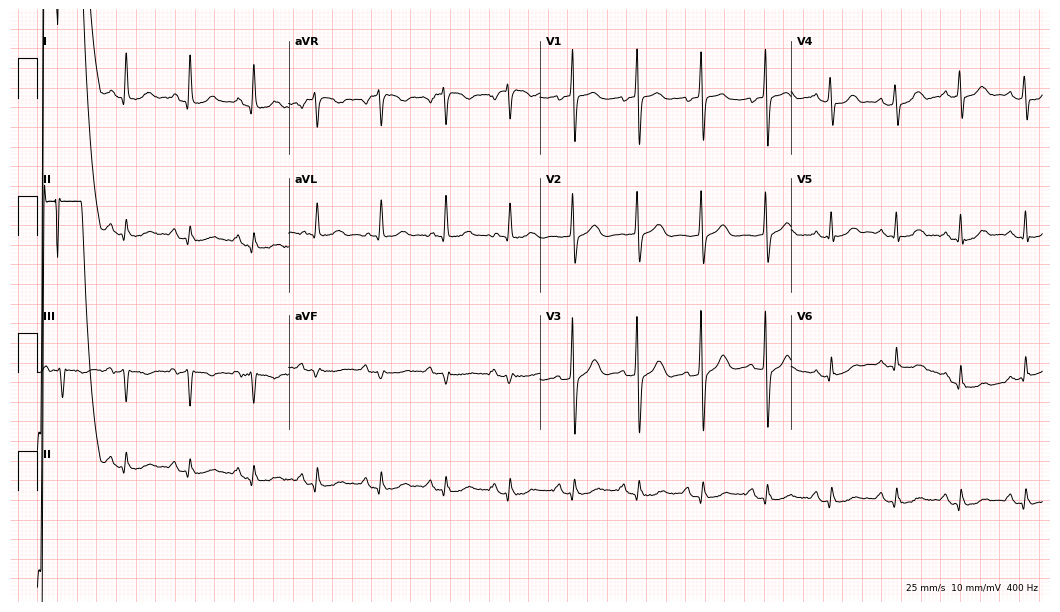
12-lead ECG (10.2-second recording at 400 Hz) from a 76-year-old female patient. Screened for six findings — first-degree AV block, right bundle branch block, left bundle branch block, sinus bradycardia, atrial fibrillation, sinus tachycardia — none is recorded. Findings outside these six are not listed.